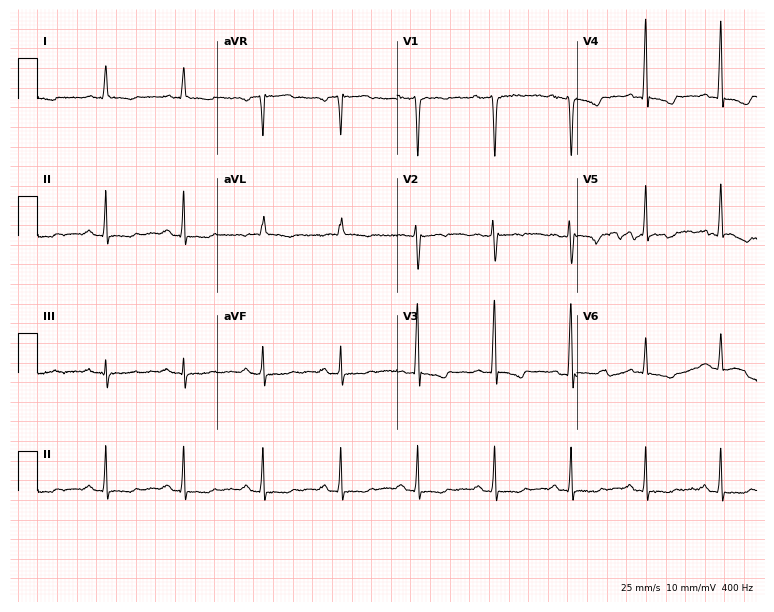
Standard 12-lead ECG recorded from a woman, 56 years old (7.3-second recording at 400 Hz). None of these six findings is recorded: first-degree AV block, right bundle branch block, left bundle branch block, sinus bradycardia, atrial fibrillation, sinus tachycardia. Only these six findings were labelled.